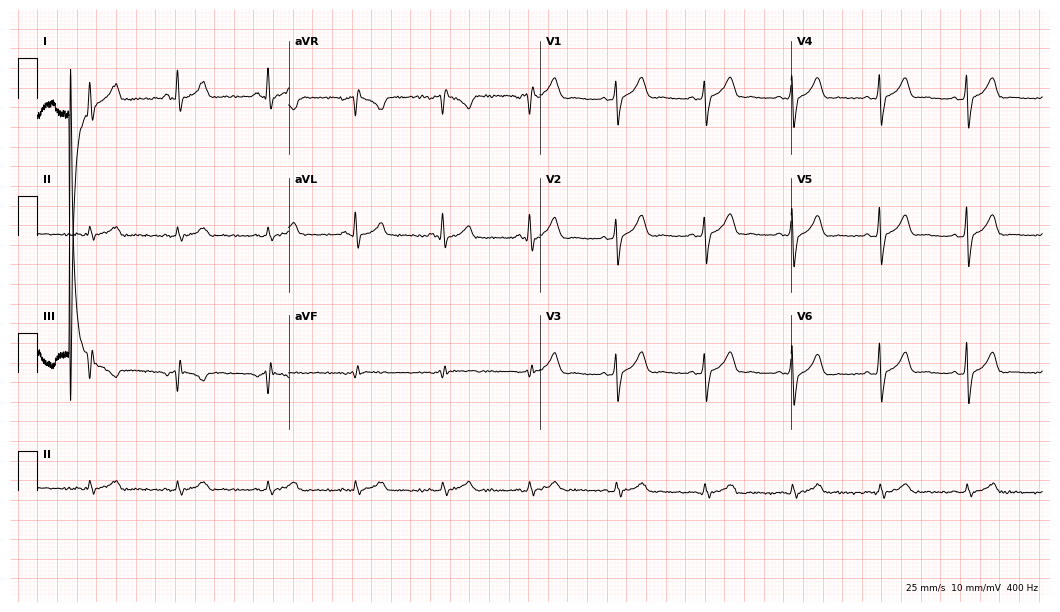
12-lead ECG from a man, 49 years old. Screened for six findings — first-degree AV block, right bundle branch block (RBBB), left bundle branch block (LBBB), sinus bradycardia, atrial fibrillation (AF), sinus tachycardia — none is recorded. Other findings, if any, are not listed.